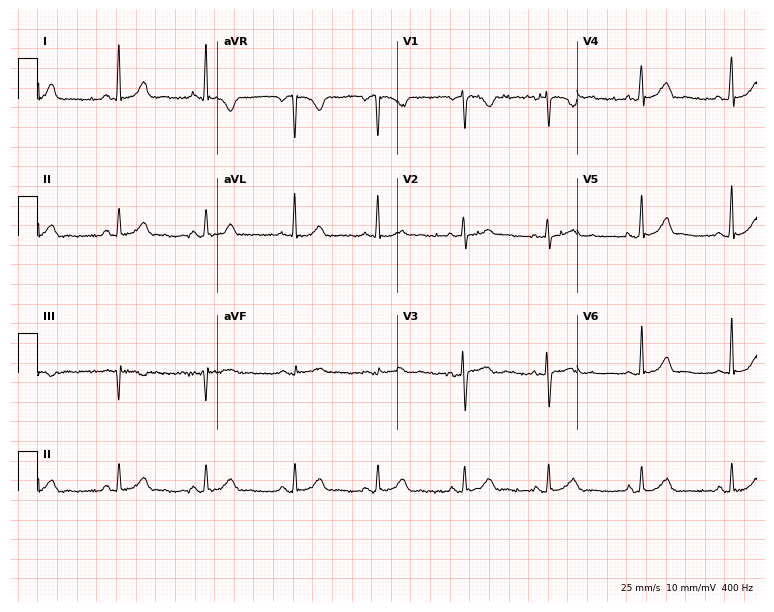
ECG (7.3-second recording at 400 Hz) — a 45-year-old female patient. Labelled as a normal ECG.